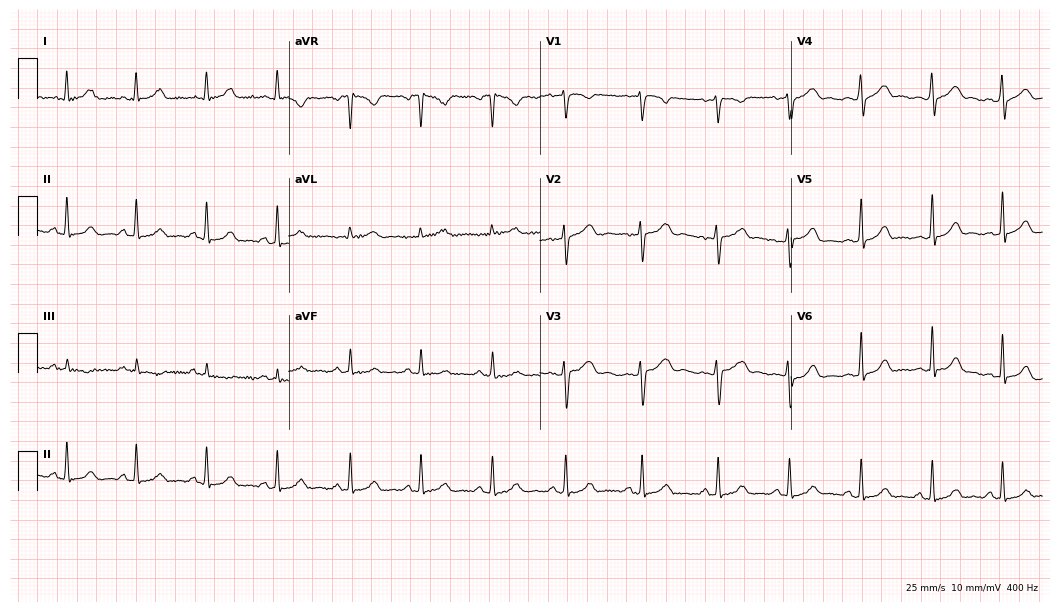
12-lead ECG from a 23-year-old female patient. Recorded interpretation: within normal limits.